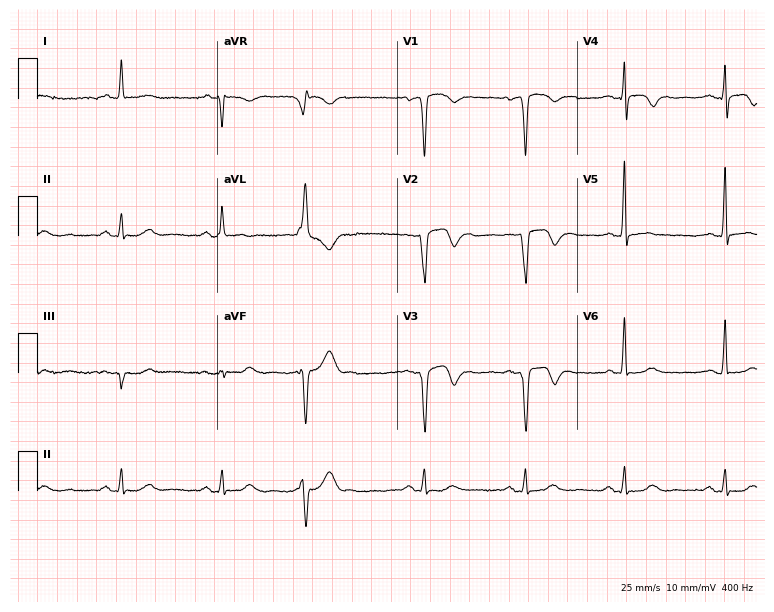
Electrocardiogram, an 80-year-old male patient. Of the six screened findings (first-degree AV block, right bundle branch block, left bundle branch block, sinus bradycardia, atrial fibrillation, sinus tachycardia), none is recorded. Findings outside these six are not listed.